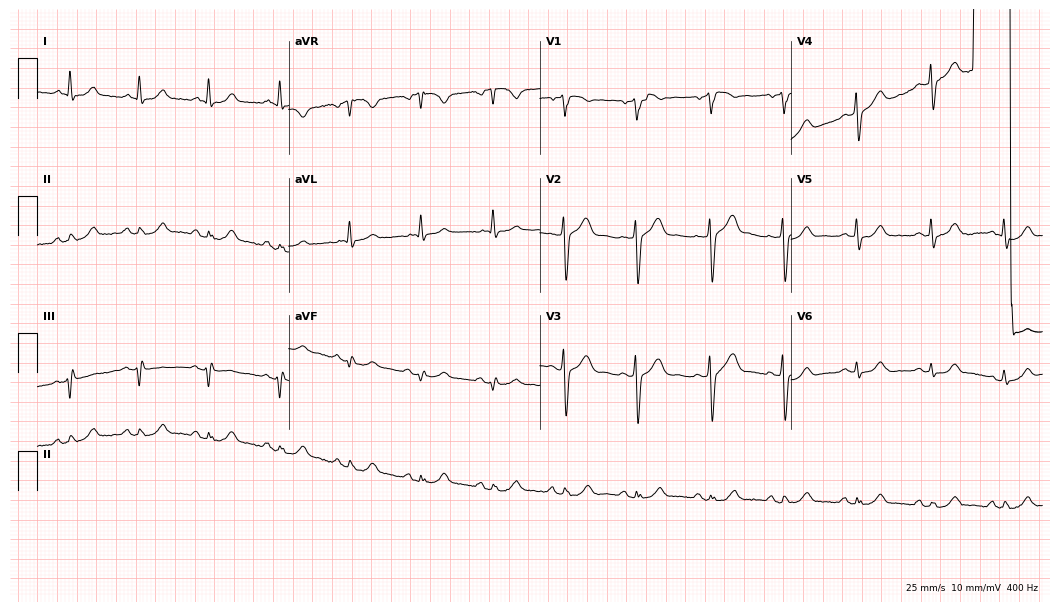
12-lead ECG from a male patient, 68 years old. Screened for six findings — first-degree AV block, right bundle branch block (RBBB), left bundle branch block (LBBB), sinus bradycardia, atrial fibrillation (AF), sinus tachycardia — none is recorded. Only these six findings were labelled.